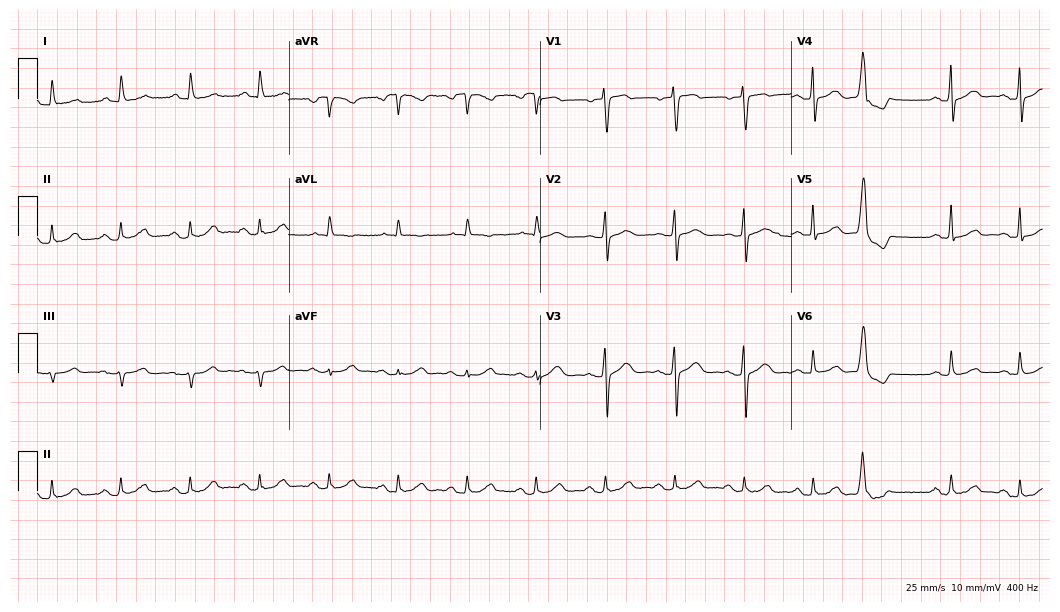
12-lead ECG from an 80-year-old woman. Screened for six findings — first-degree AV block, right bundle branch block, left bundle branch block, sinus bradycardia, atrial fibrillation, sinus tachycardia — none is recorded.